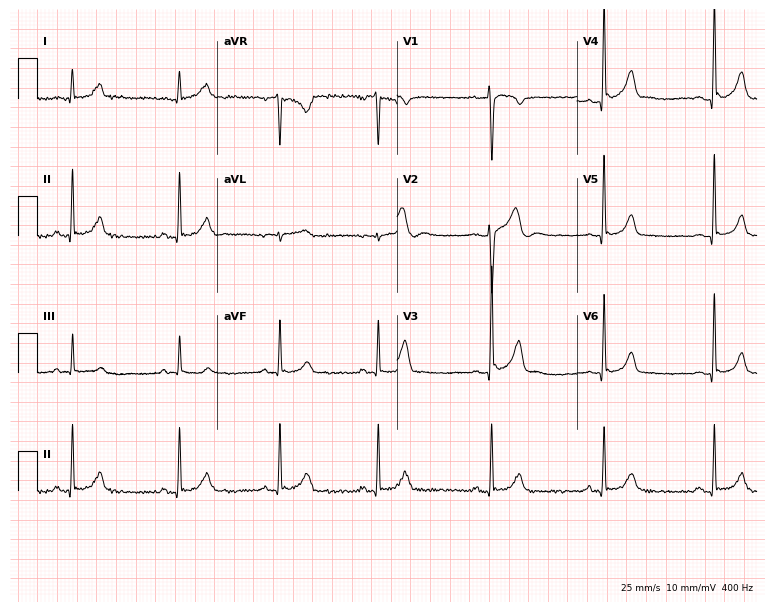
Resting 12-lead electrocardiogram (7.3-second recording at 400 Hz). Patient: a male, 19 years old. None of these six findings is recorded: first-degree AV block, right bundle branch block, left bundle branch block, sinus bradycardia, atrial fibrillation, sinus tachycardia. Other findings, if any, are not listed.